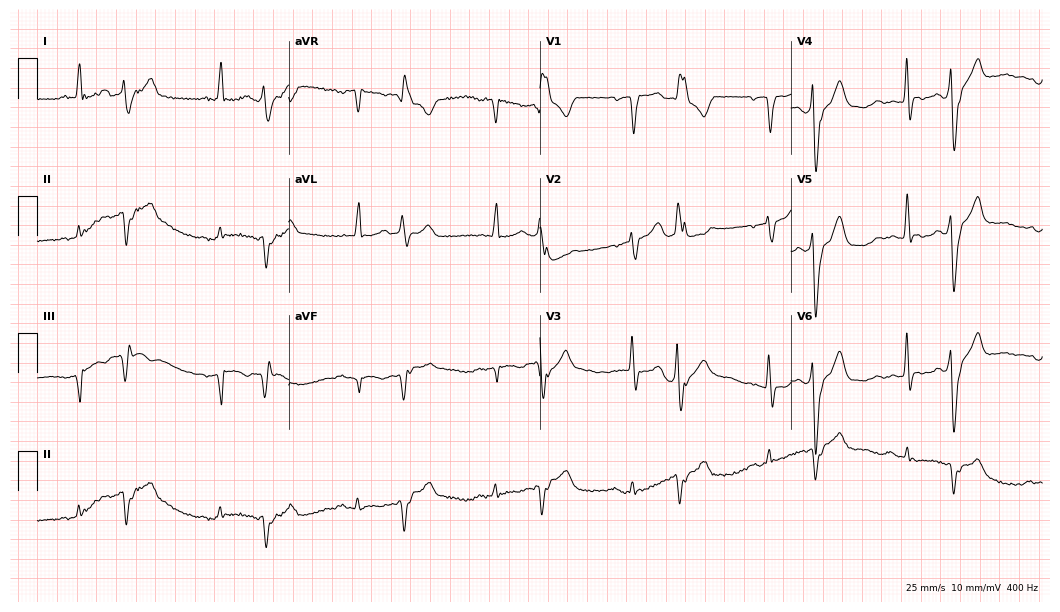
Resting 12-lead electrocardiogram. Patient: a male, 82 years old. None of these six findings is recorded: first-degree AV block, right bundle branch block, left bundle branch block, sinus bradycardia, atrial fibrillation, sinus tachycardia. Other findings, if any, are not listed.